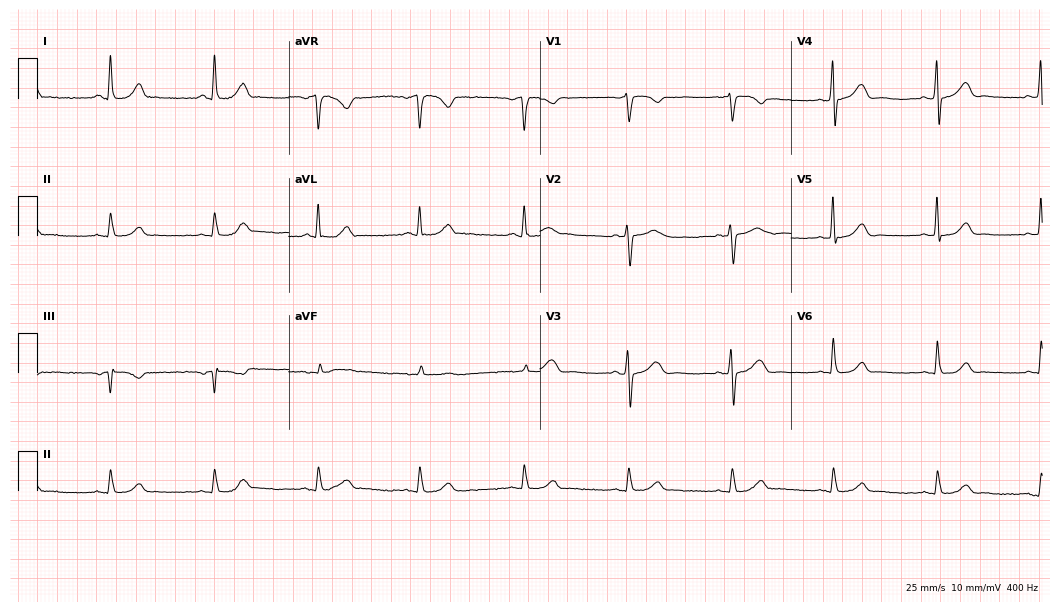
Electrocardiogram, a 63-year-old male patient. Overall reading on record: normal ECG.